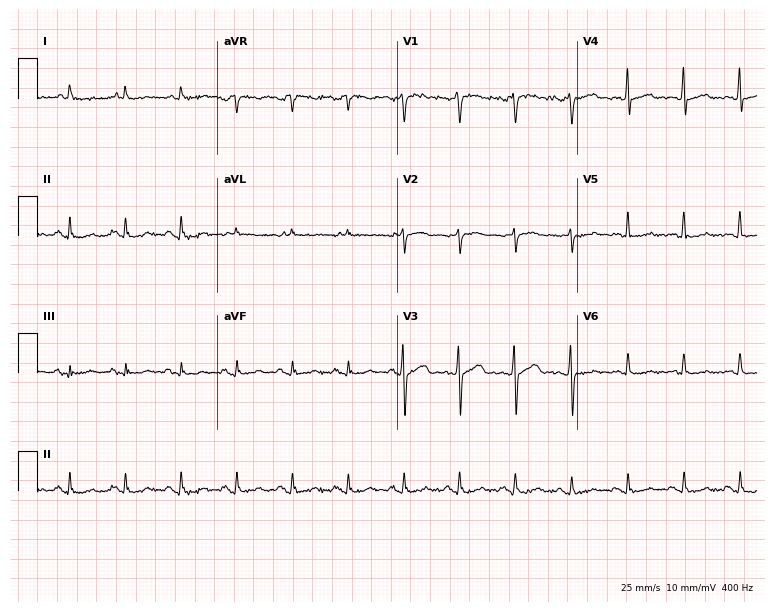
Standard 12-lead ECG recorded from a male patient, 63 years old (7.3-second recording at 400 Hz). The tracing shows sinus tachycardia (a sinus rate of 100 beats per minute or more).